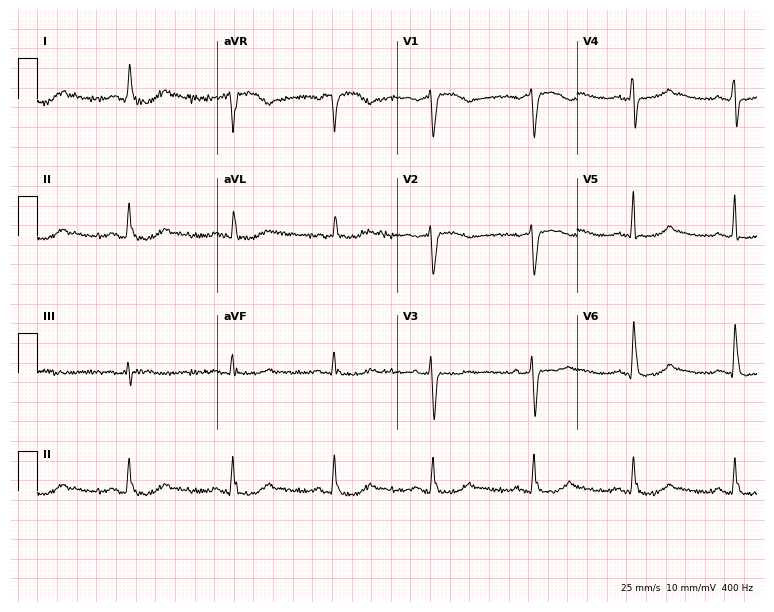
12-lead ECG from a 55-year-old female patient. No first-degree AV block, right bundle branch block, left bundle branch block, sinus bradycardia, atrial fibrillation or sinus tachycardia recorded for this tracing.